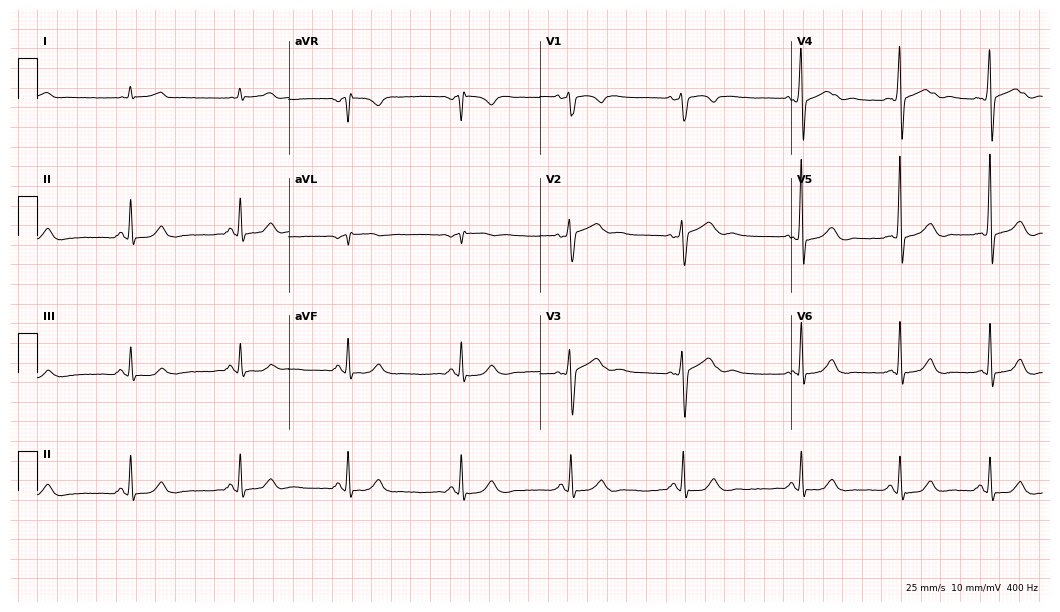
Standard 12-lead ECG recorded from a 45-year-old male patient (10.2-second recording at 400 Hz). Read as a normal ECG.